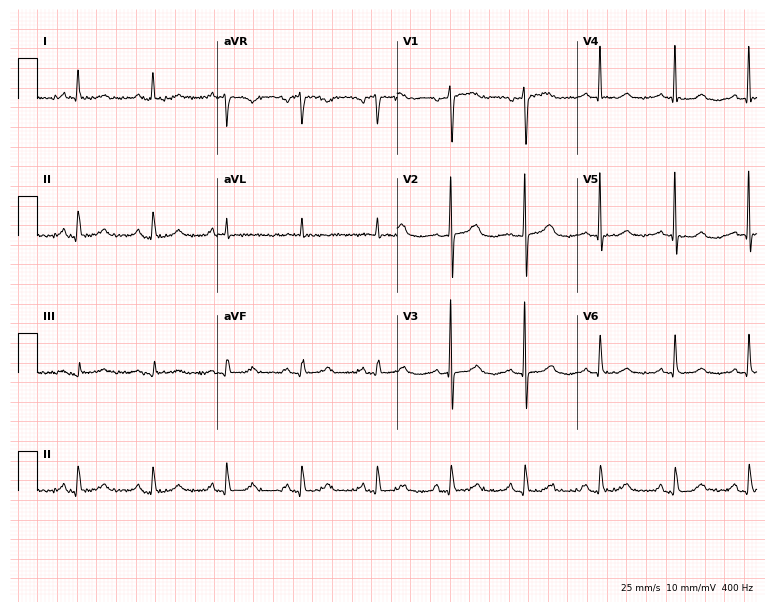
Electrocardiogram, an 84-year-old woman. Of the six screened findings (first-degree AV block, right bundle branch block (RBBB), left bundle branch block (LBBB), sinus bradycardia, atrial fibrillation (AF), sinus tachycardia), none is recorded. Only these six findings were labelled.